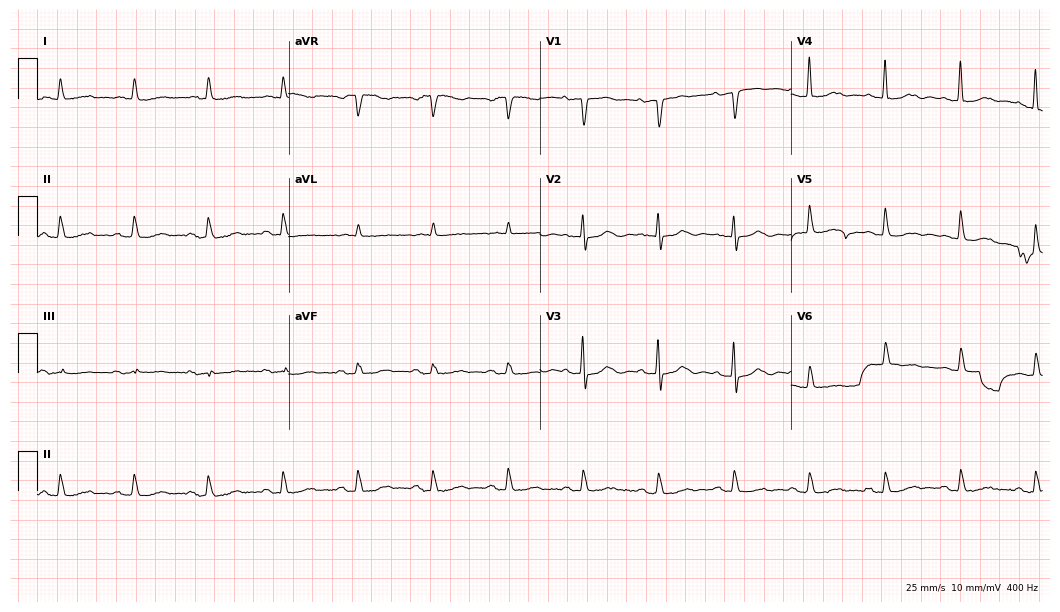
ECG (10.2-second recording at 400 Hz) — a 74-year-old female patient. Screened for six findings — first-degree AV block, right bundle branch block (RBBB), left bundle branch block (LBBB), sinus bradycardia, atrial fibrillation (AF), sinus tachycardia — none is recorded. Other findings, if any, are not listed.